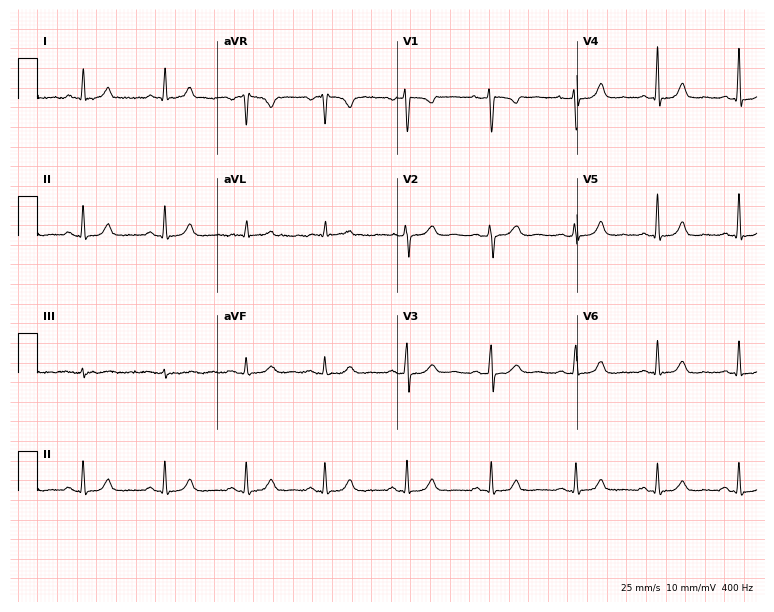
Resting 12-lead electrocardiogram (7.3-second recording at 400 Hz). Patient: a 41-year-old female. None of these six findings is recorded: first-degree AV block, right bundle branch block, left bundle branch block, sinus bradycardia, atrial fibrillation, sinus tachycardia.